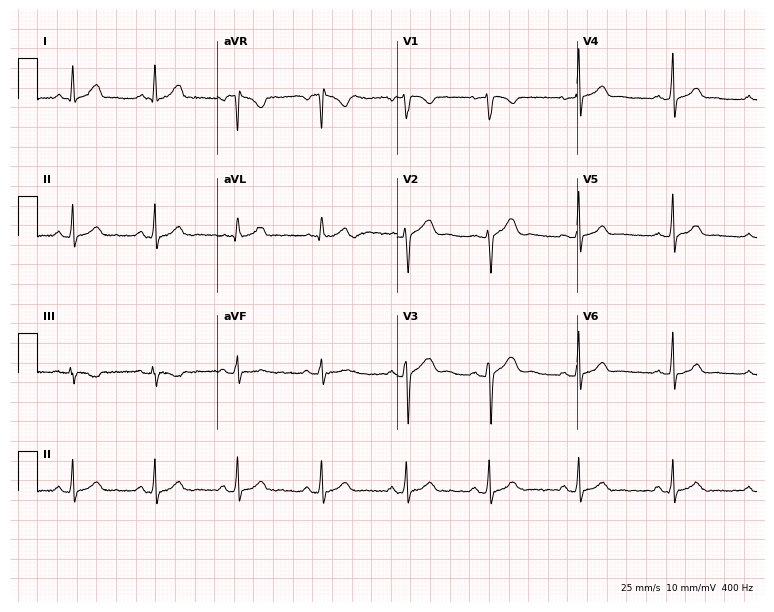
Resting 12-lead electrocardiogram. Patient: a woman, 22 years old. Read as a normal ECG.